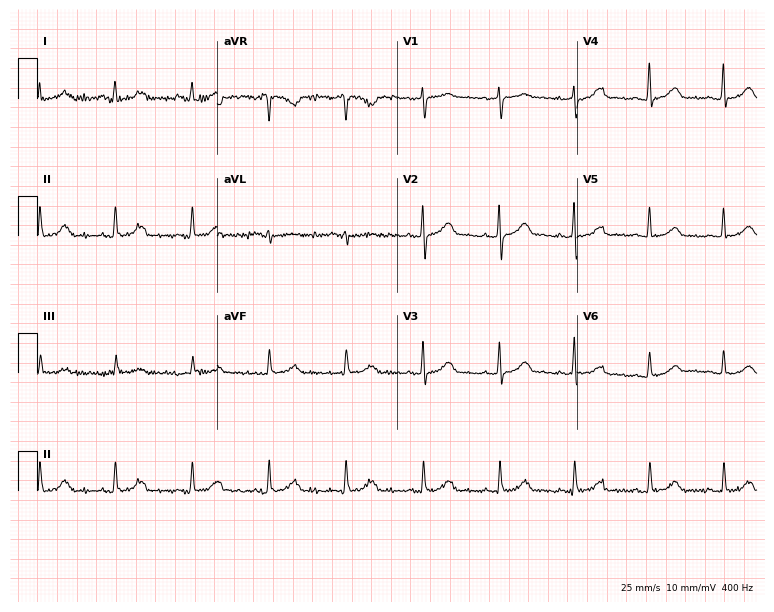
ECG (7.3-second recording at 400 Hz) — a 51-year-old woman. Screened for six findings — first-degree AV block, right bundle branch block, left bundle branch block, sinus bradycardia, atrial fibrillation, sinus tachycardia — none is recorded.